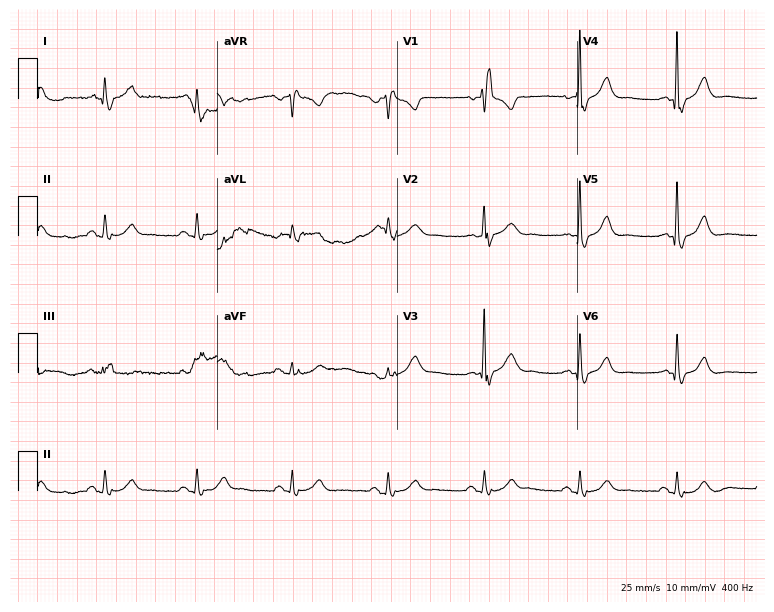
12-lead ECG from an 81-year-old male. Shows right bundle branch block.